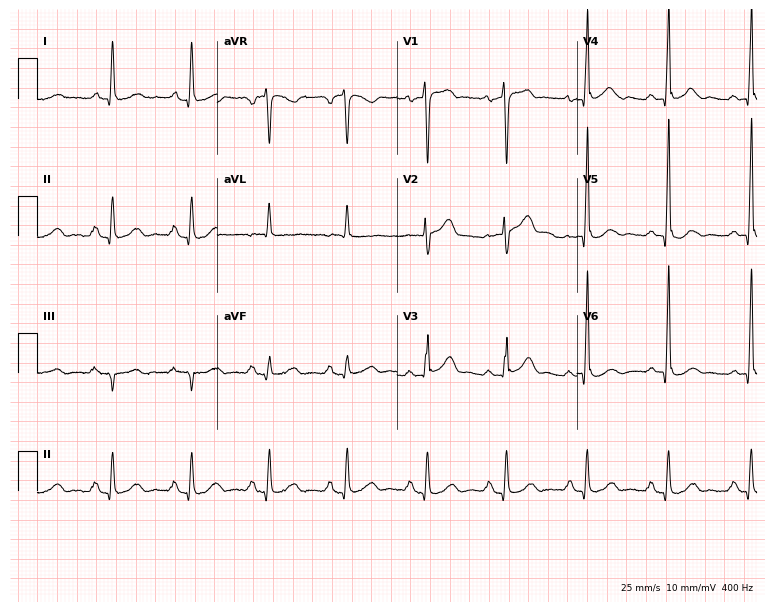
ECG (7.3-second recording at 400 Hz) — a 77-year-old male patient. Labelled as a normal ECG.